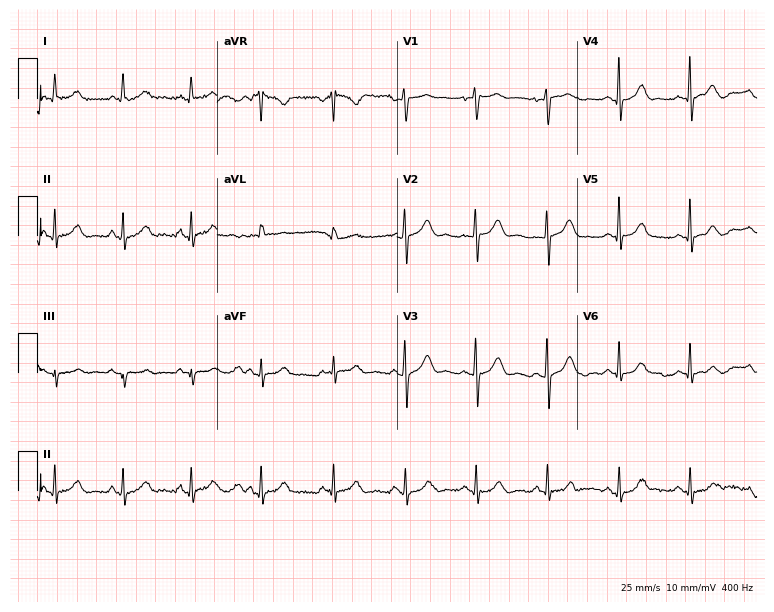
12-lead ECG from an 81-year-old woman (7.3-second recording at 400 Hz). No first-degree AV block, right bundle branch block (RBBB), left bundle branch block (LBBB), sinus bradycardia, atrial fibrillation (AF) or sinus tachycardia recorded for this tracing.